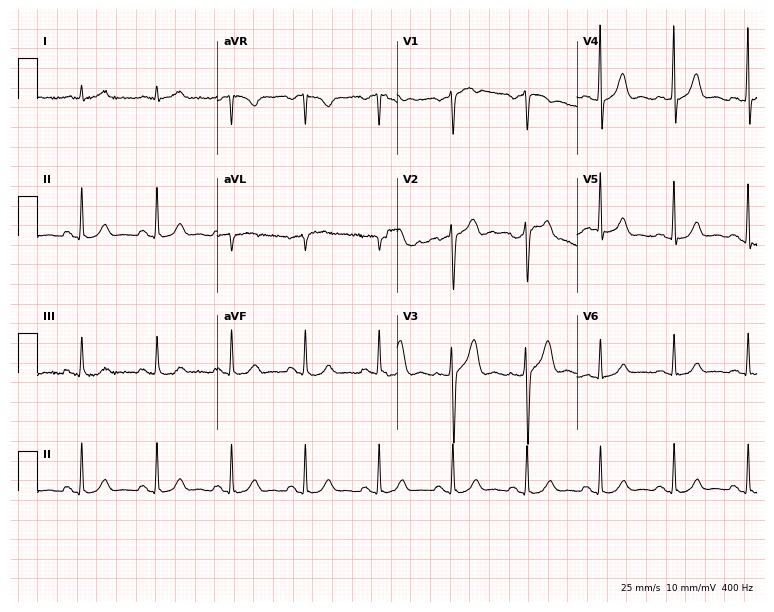
Resting 12-lead electrocardiogram (7.3-second recording at 400 Hz). Patient: a man, 62 years old. None of these six findings is recorded: first-degree AV block, right bundle branch block (RBBB), left bundle branch block (LBBB), sinus bradycardia, atrial fibrillation (AF), sinus tachycardia. Findings outside these six are not listed.